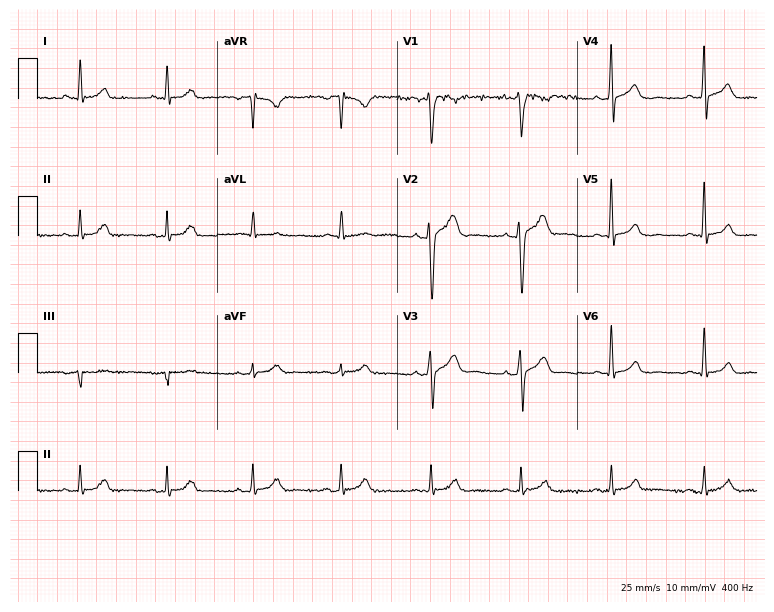
ECG — a male patient, 35 years old. Screened for six findings — first-degree AV block, right bundle branch block (RBBB), left bundle branch block (LBBB), sinus bradycardia, atrial fibrillation (AF), sinus tachycardia — none is recorded.